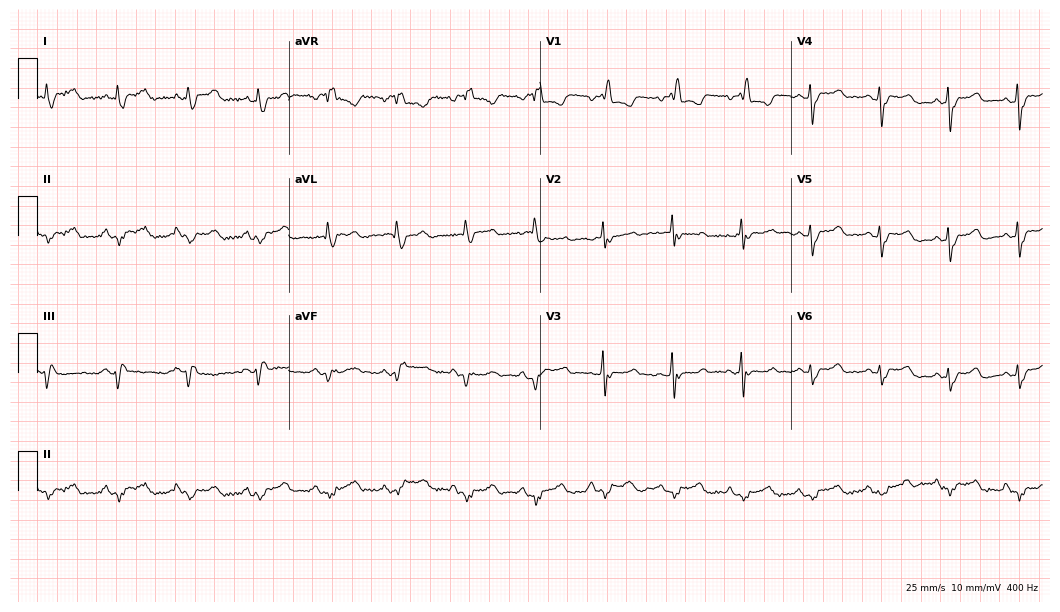
Electrocardiogram, a female, 75 years old. Interpretation includes right bundle branch block.